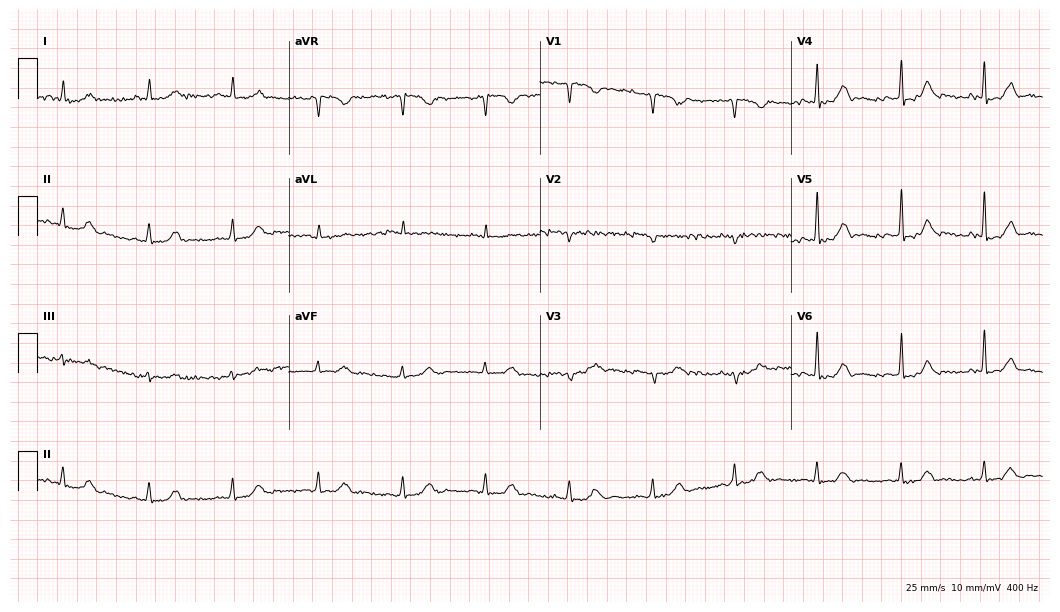
Standard 12-lead ECG recorded from a female, 81 years old (10.2-second recording at 400 Hz). None of these six findings is recorded: first-degree AV block, right bundle branch block (RBBB), left bundle branch block (LBBB), sinus bradycardia, atrial fibrillation (AF), sinus tachycardia. Only these six findings were labelled.